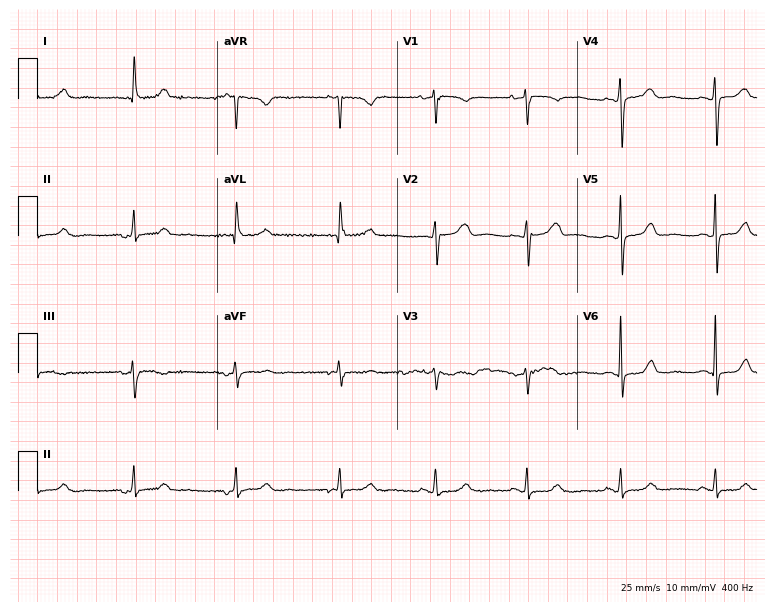
Resting 12-lead electrocardiogram (7.3-second recording at 400 Hz). Patient: a 75-year-old female. None of these six findings is recorded: first-degree AV block, right bundle branch block, left bundle branch block, sinus bradycardia, atrial fibrillation, sinus tachycardia. Other findings, if any, are not listed.